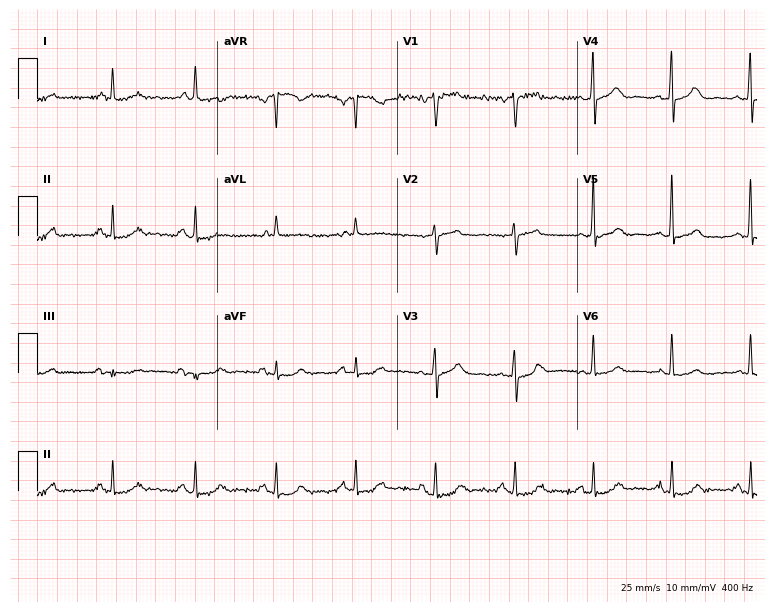
Electrocardiogram (7.3-second recording at 400 Hz), a female, 79 years old. Of the six screened findings (first-degree AV block, right bundle branch block, left bundle branch block, sinus bradycardia, atrial fibrillation, sinus tachycardia), none is recorded. Other findings, if any, are not listed.